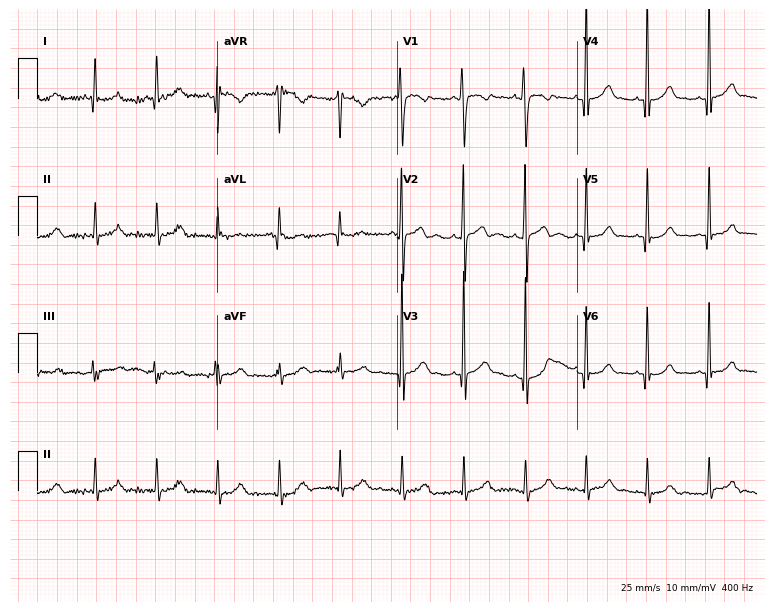
ECG (7.3-second recording at 400 Hz) — a man, 18 years old. Screened for six findings — first-degree AV block, right bundle branch block, left bundle branch block, sinus bradycardia, atrial fibrillation, sinus tachycardia — none is recorded.